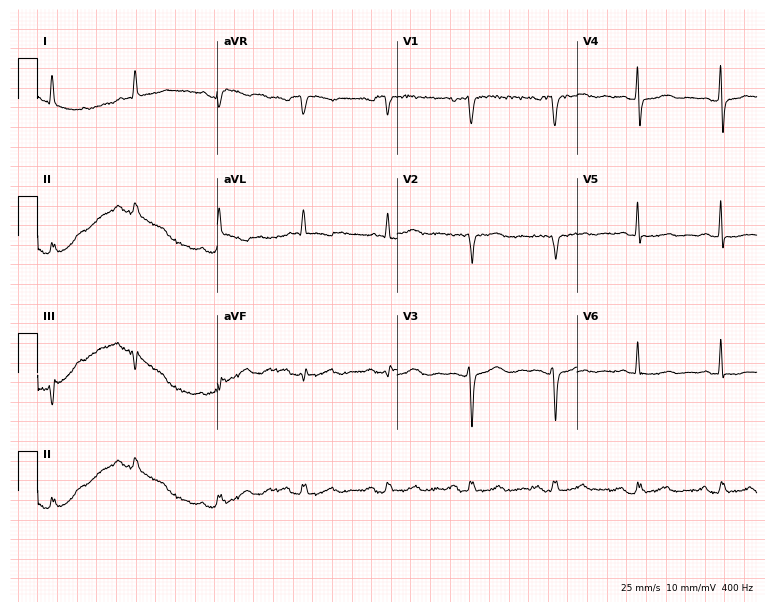
Resting 12-lead electrocardiogram (7.3-second recording at 400 Hz). Patient: a 72-year-old female. None of these six findings is recorded: first-degree AV block, right bundle branch block, left bundle branch block, sinus bradycardia, atrial fibrillation, sinus tachycardia. Findings outside these six are not listed.